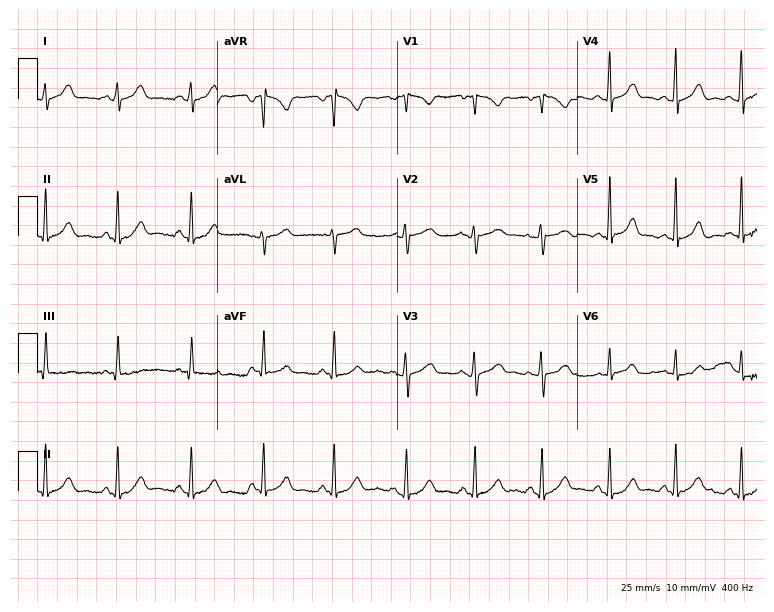
Standard 12-lead ECG recorded from a female patient, 21 years old. Read as a normal ECG.